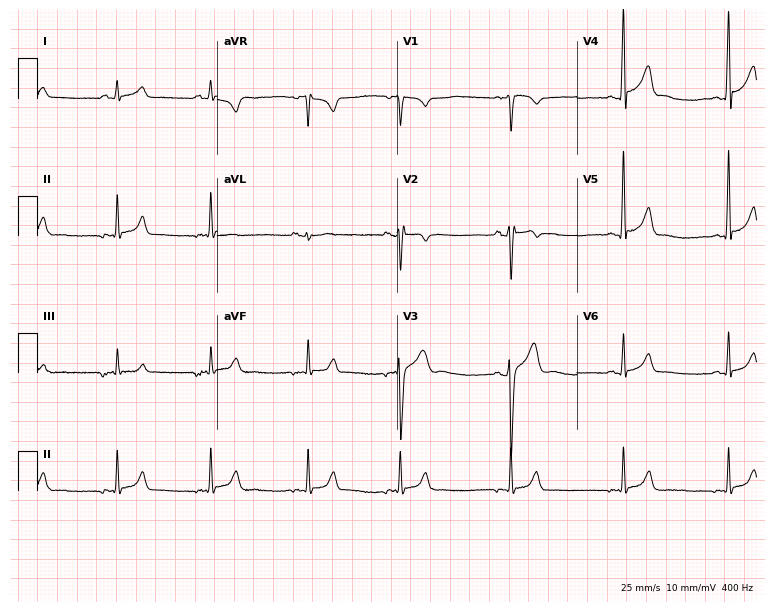
Resting 12-lead electrocardiogram (7.3-second recording at 400 Hz). Patient: a 24-year-old man. None of these six findings is recorded: first-degree AV block, right bundle branch block, left bundle branch block, sinus bradycardia, atrial fibrillation, sinus tachycardia.